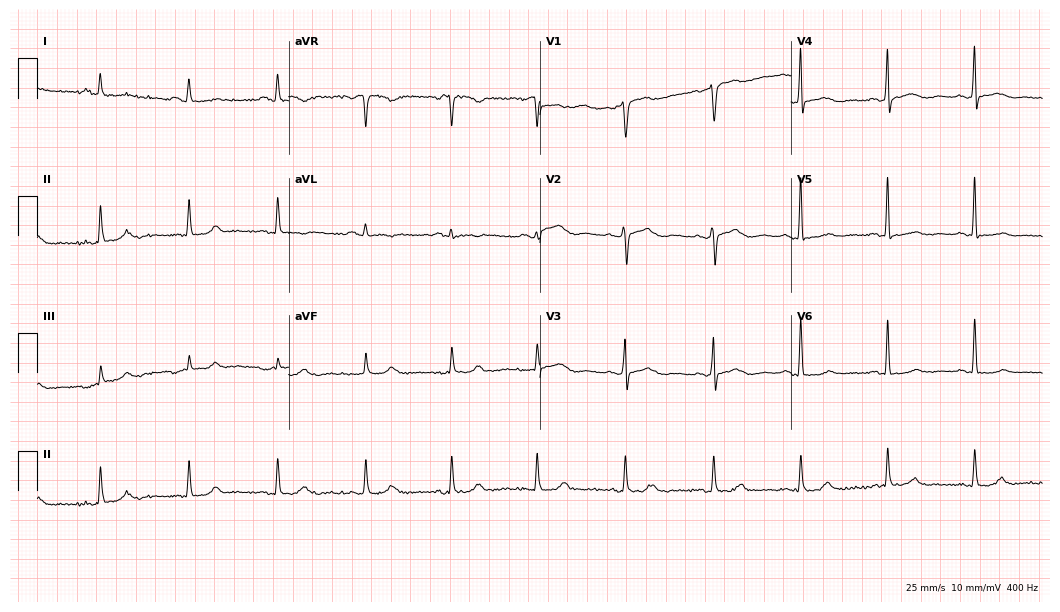
Resting 12-lead electrocardiogram. Patient: an 80-year-old woman. Read as a normal ECG.